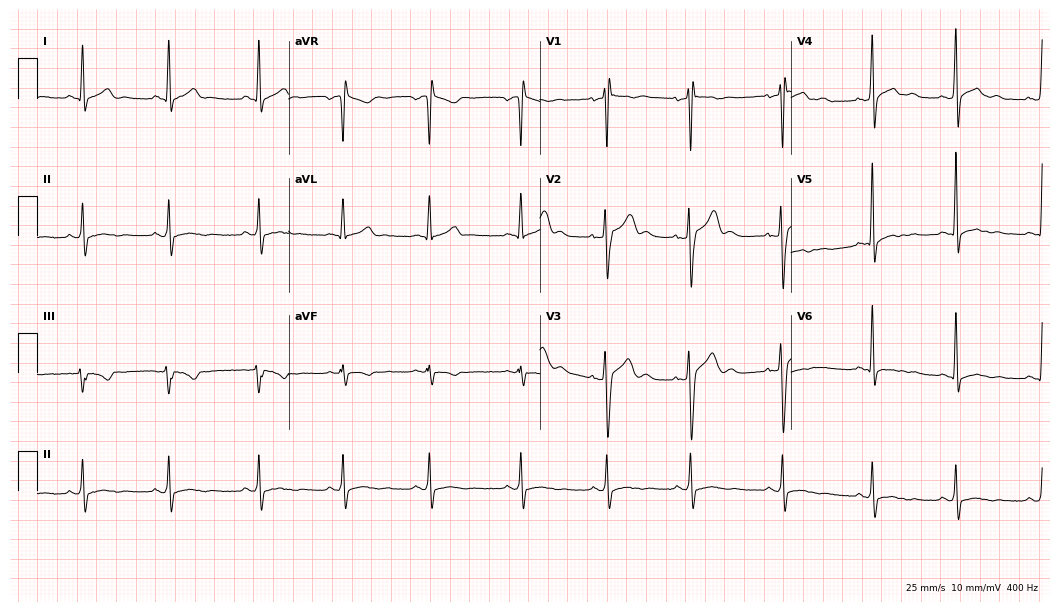
Electrocardiogram, a male patient, 22 years old. Of the six screened findings (first-degree AV block, right bundle branch block, left bundle branch block, sinus bradycardia, atrial fibrillation, sinus tachycardia), none is recorded. Findings outside these six are not listed.